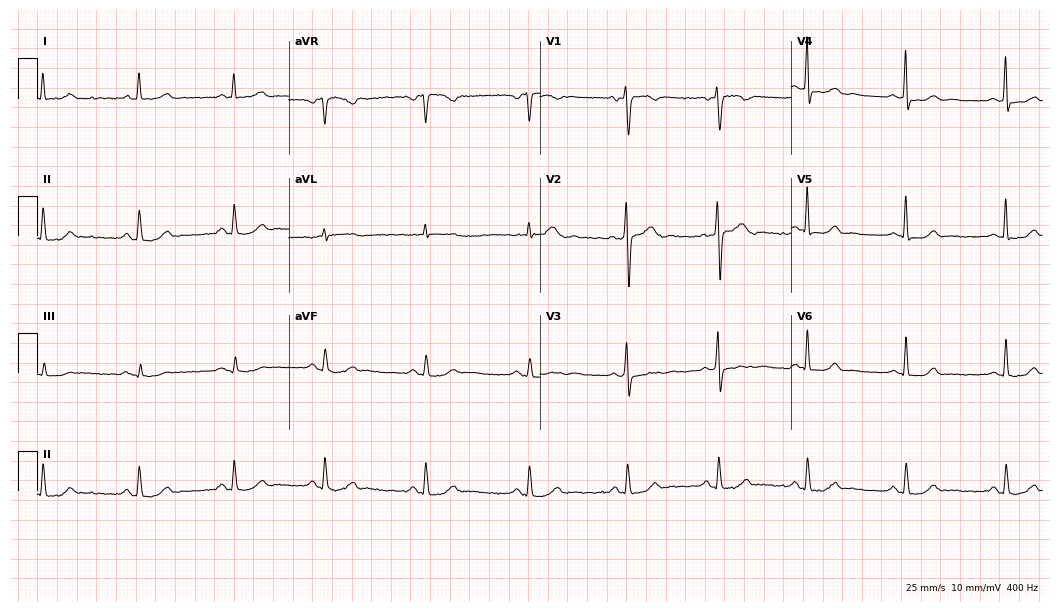
ECG (10.2-second recording at 400 Hz) — a female, 46 years old. Labelled as a normal ECG.